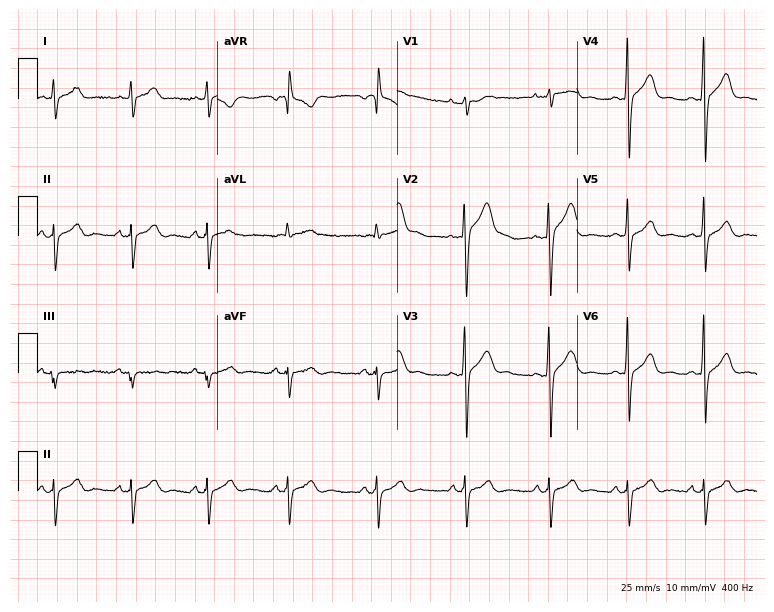
Standard 12-lead ECG recorded from a 17-year-old male (7.3-second recording at 400 Hz). Read as a normal ECG.